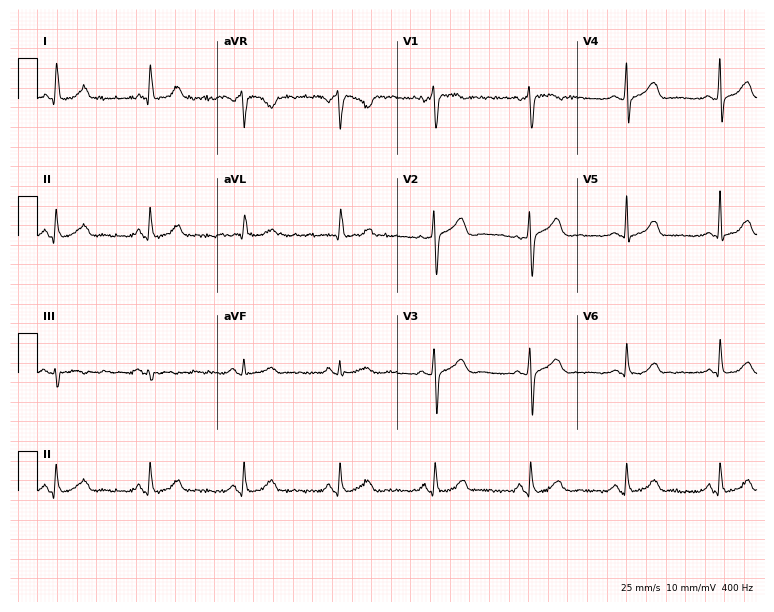
12-lead ECG from a woman, 63 years old (7.3-second recording at 400 Hz). Recorded interpretation: within normal limits.